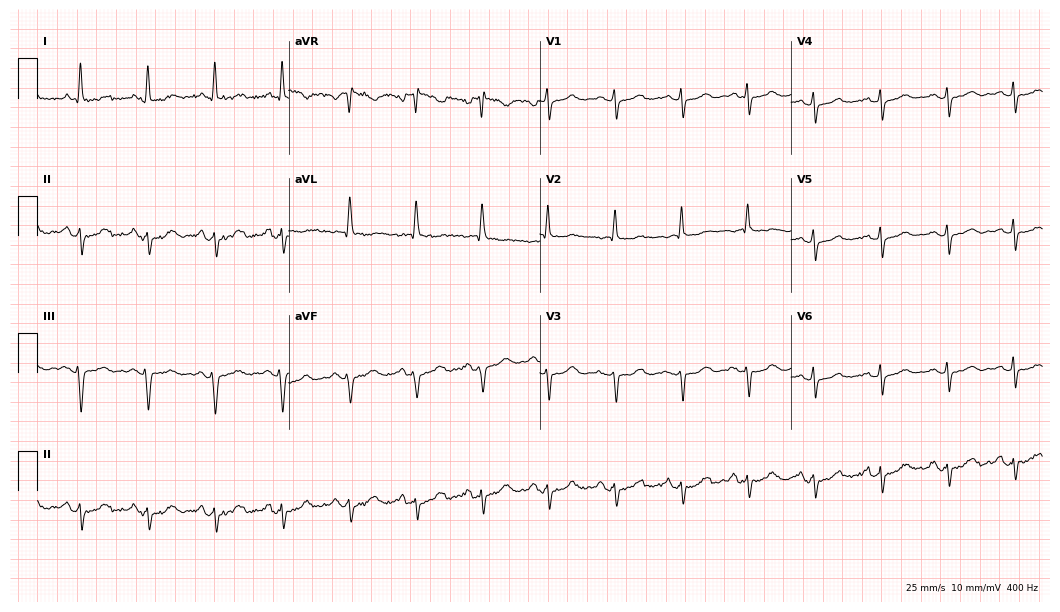
12-lead ECG from a 72-year-old female. No first-degree AV block, right bundle branch block, left bundle branch block, sinus bradycardia, atrial fibrillation or sinus tachycardia recorded for this tracing. Findings outside these six are not listed.